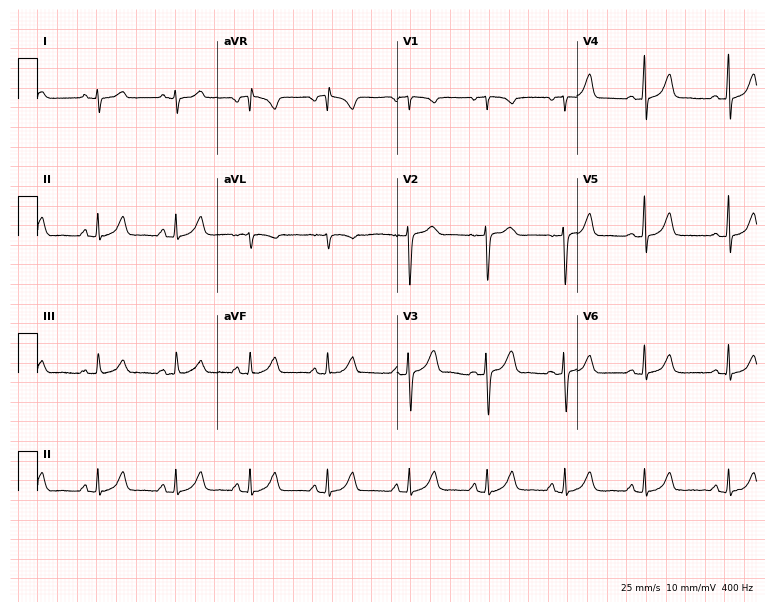
12-lead ECG (7.3-second recording at 400 Hz) from a female, 26 years old. Labelled as a normal ECG.